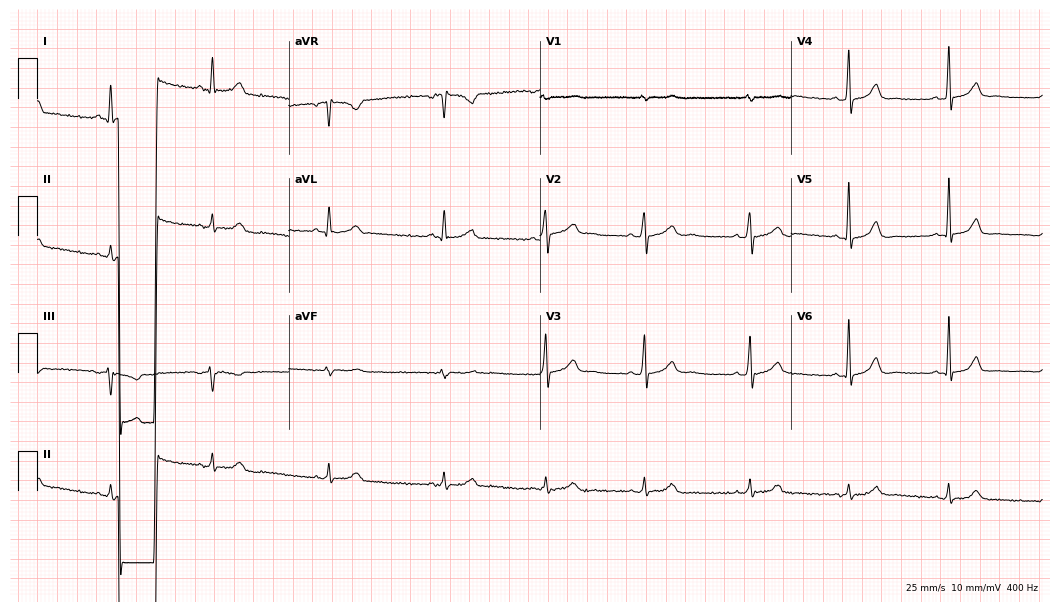
12-lead ECG from a female patient, 43 years old (10.2-second recording at 400 Hz). No first-degree AV block, right bundle branch block, left bundle branch block, sinus bradycardia, atrial fibrillation or sinus tachycardia recorded for this tracing.